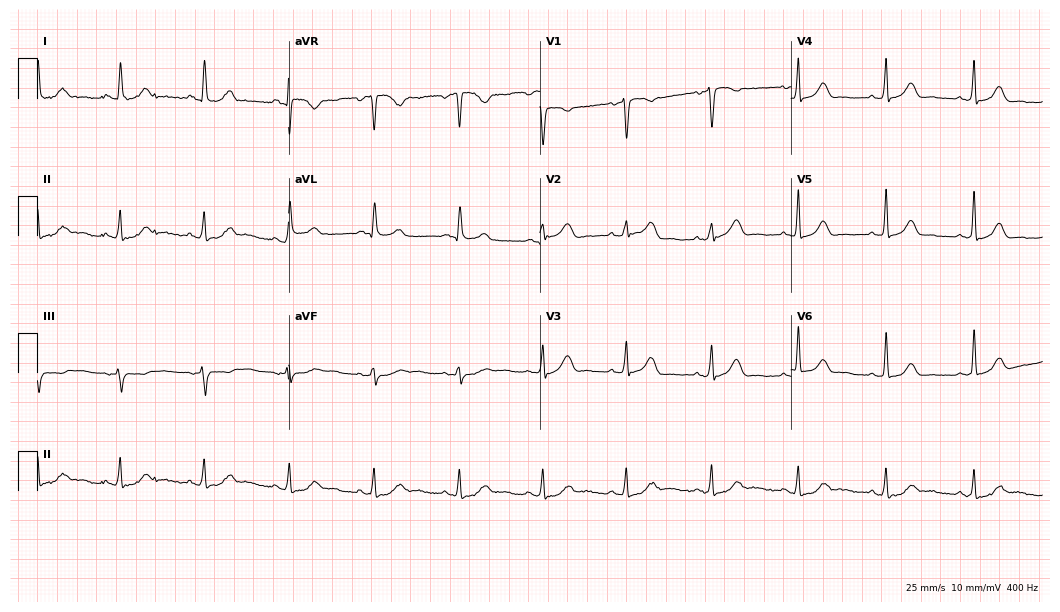
12-lead ECG from a female patient, 49 years old. Labelled as a normal ECG.